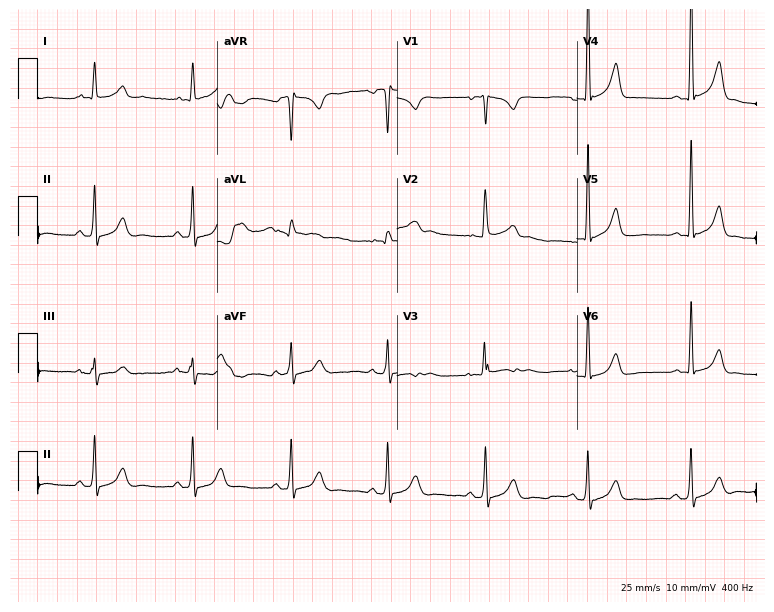
ECG (7.3-second recording at 400 Hz) — a female, 35 years old. Screened for six findings — first-degree AV block, right bundle branch block (RBBB), left bundle branch block (LBBB), sinus bradycardia, atrial fibrillation (AF), sinus tachycardia — none is recorded. Findings outside these six are not listed.